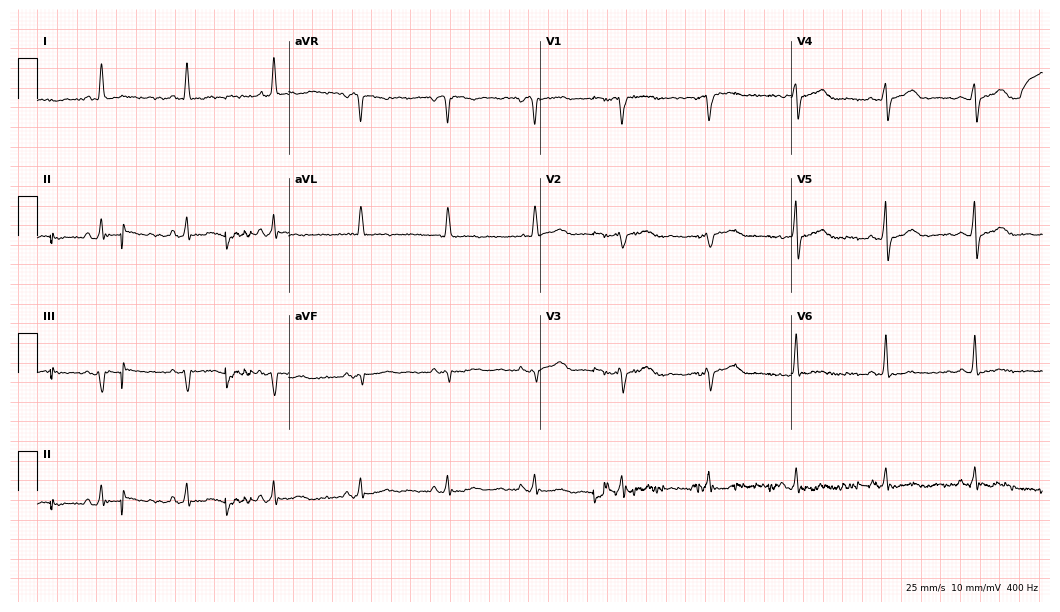
Electrocardiogram (10.2-second recording at 400 Hz), a 73-year-old female. Of the six screened findings (first-degree AV block, right bundle branch block, left bundle branch block, sinus bradycardia, atrial fibrillation, sinus tachycardia), none is recorded.